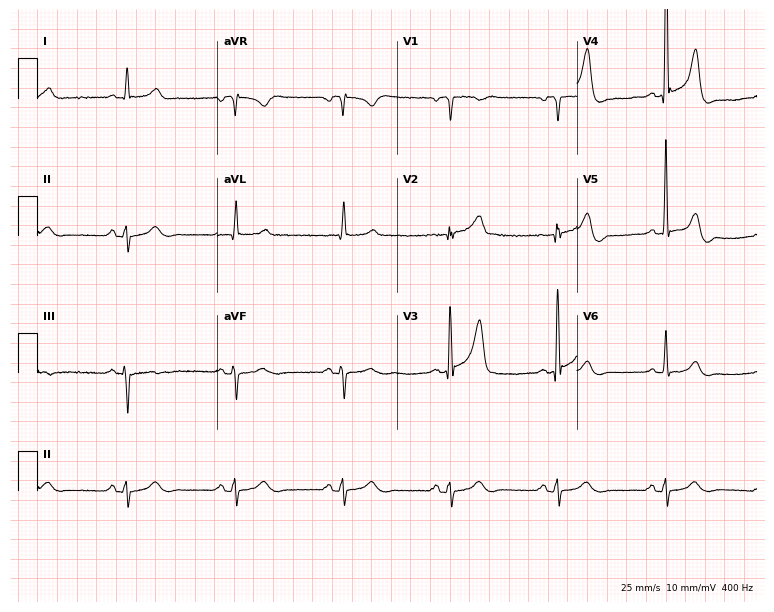
Electrocardiogram (7.3-second recording at 400 Hz), an 83-year-old male. Of the six screened findings (first-degree AV block, right bundle branch block (RBBB), left bundle branch block (LBBB), sinus bradycardia, atrial fibrillation (AF), sinus tachycardia), none is recorded. Findings outside these six are not listed.